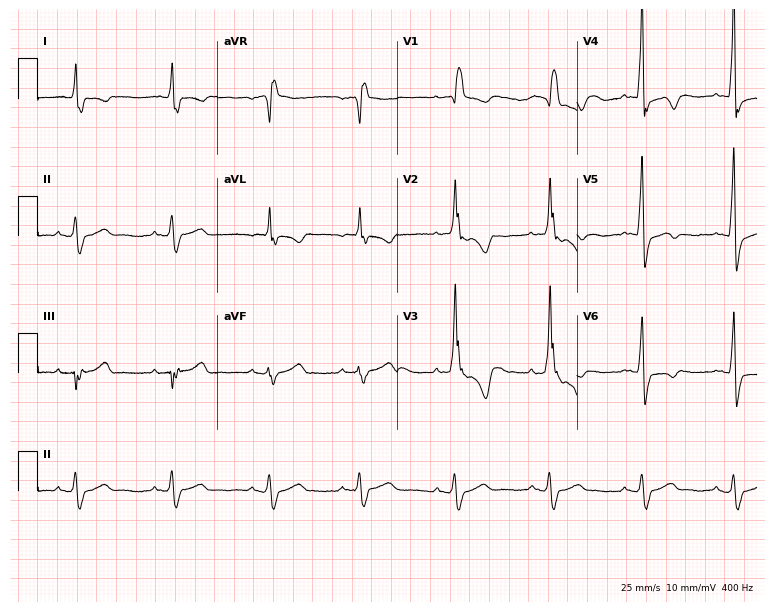
12-lead ECG from a male patient, 78 years old. Shows right bundle branch block (RBBB).